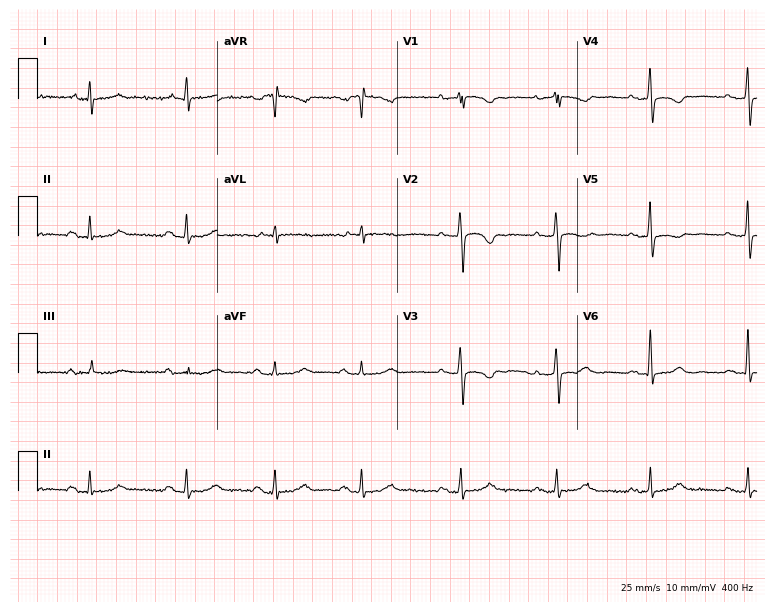
12-lead ECG from a female, 56 years old. No first-degree AV block, right bundle branch block, left bundle branch block, sinus bradycardia, atrial fibrillation or sinus tachycardia recorded for this tracing.